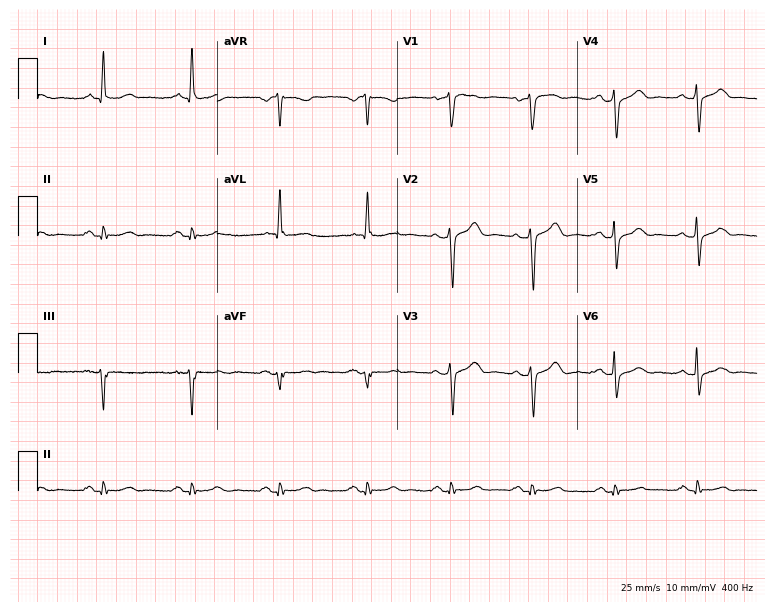
Electrocardiogram, a man, 57 years old. Of the six screened findings (first-degree AV block, right bundle branch block (RBBB), left bundle branch block (LBBB), sinus bradycardia, atrial fibrillation (AF), sinus tachycardia), none is recorded.